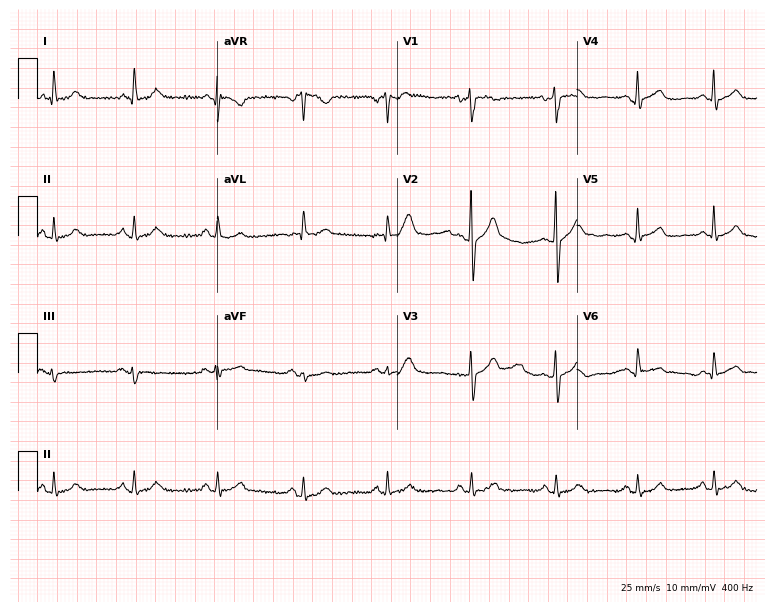
Electrocardiogram, a 51-year-old female patient. Overall reading on record: normal ECG.